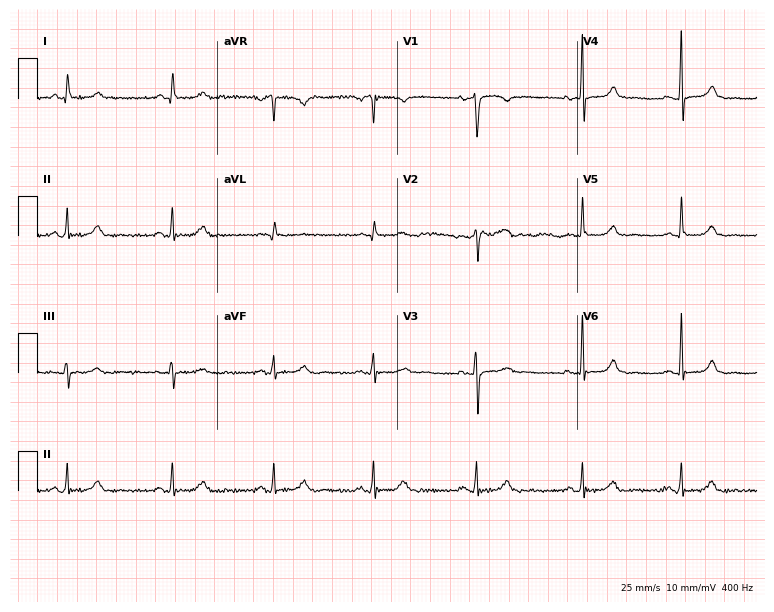
ECG — a 66-year-old woman. Labelled as a normal ECG.